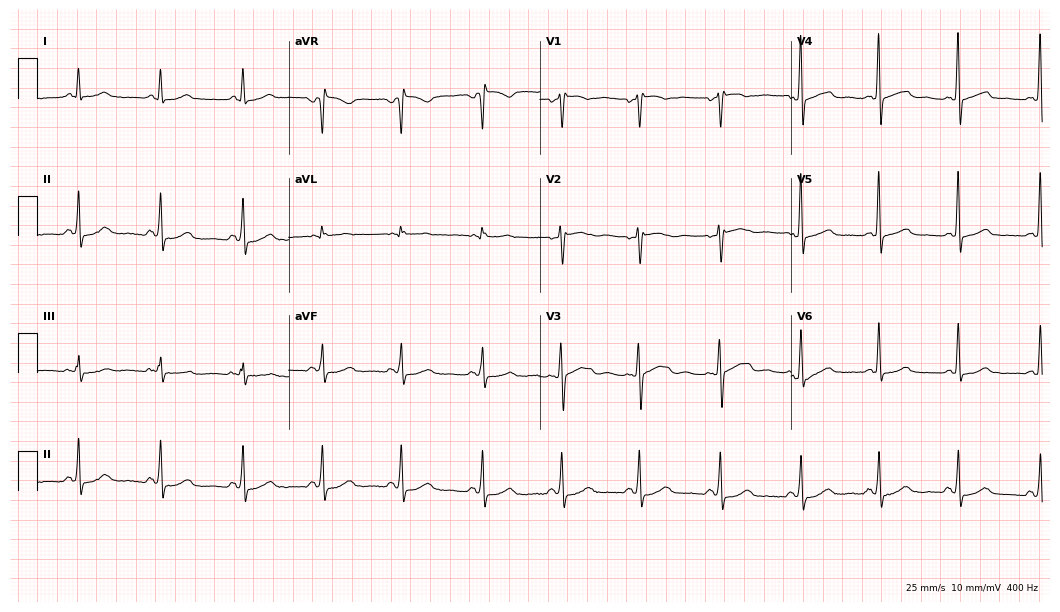
Electrocardiogram, a woman, 49 years old. Of the six screened findings (first-degree AV block, right bundle branch block, left bundle branch block, sinus bradycardia, atrial fibrillation, sinus tachycardia), none is recorded. Findings outside these six are not listed.